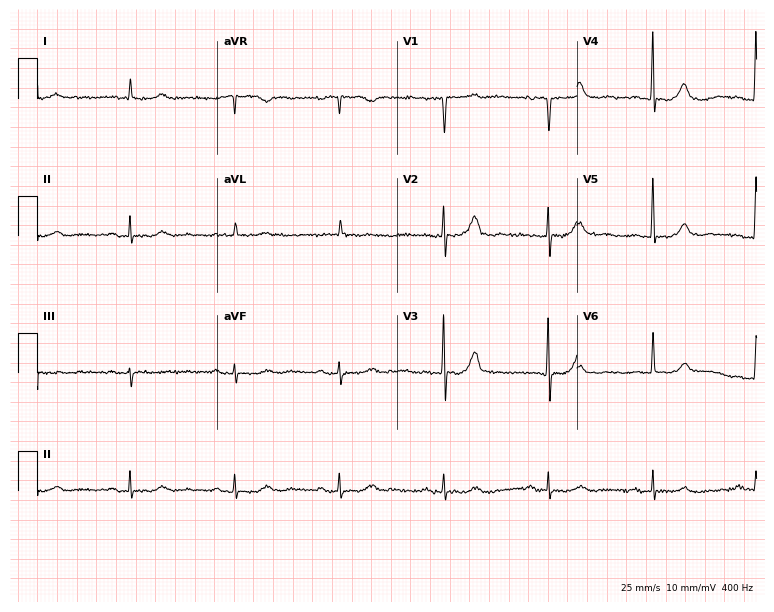
Electrocardiogram (7.3-second recording at 400 Hz), an 81-year-old man. Overall reading on record: normal ECG.